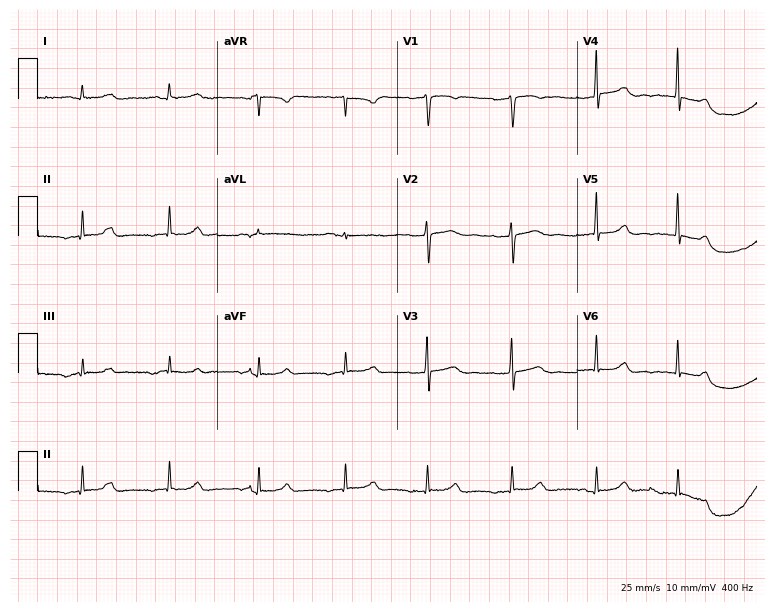
Electrocardiogram, a female, 32 years old. Overall reading on record: normal ECG.